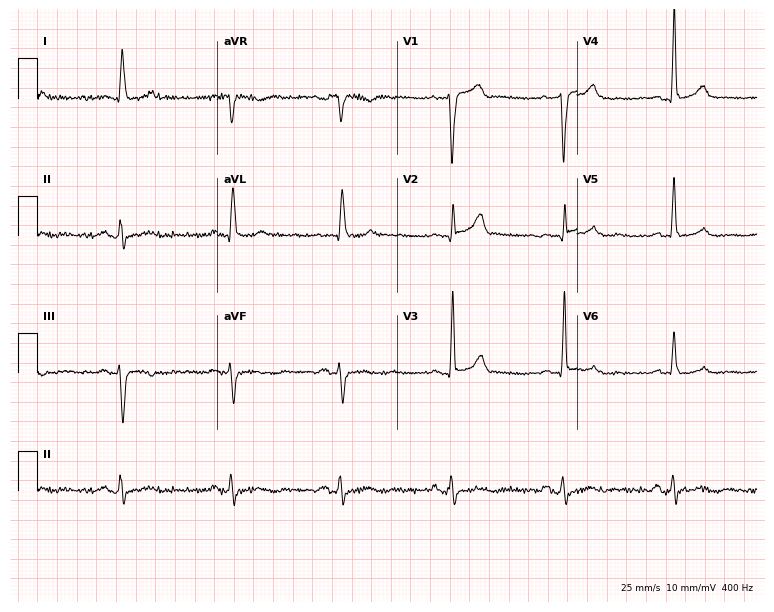
Resting 12-lead electrocardiogram (7.3-second recording at 400 Hz). Patient: a 61-year-old male. None of these six findings is recorded: first-degree AV block, right bundle branch block, left bundle branch block, sinus bradycardia, atrial fibrillation, sinus tachycardia.